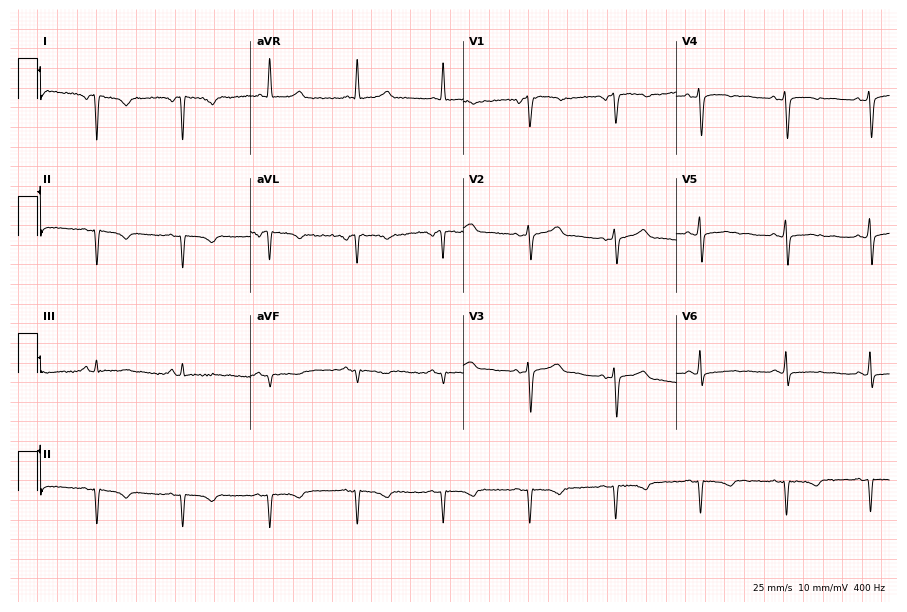
Resting 12-lead electrocardiogram. Patient: a female, 43 years old. None of these six findings is recorded: first-degree AV block, right bundle branch block, left bundle branch block, sinus bradycardia, atrial fibrillation, sinus tachycardia. Only these six findings were labelled.